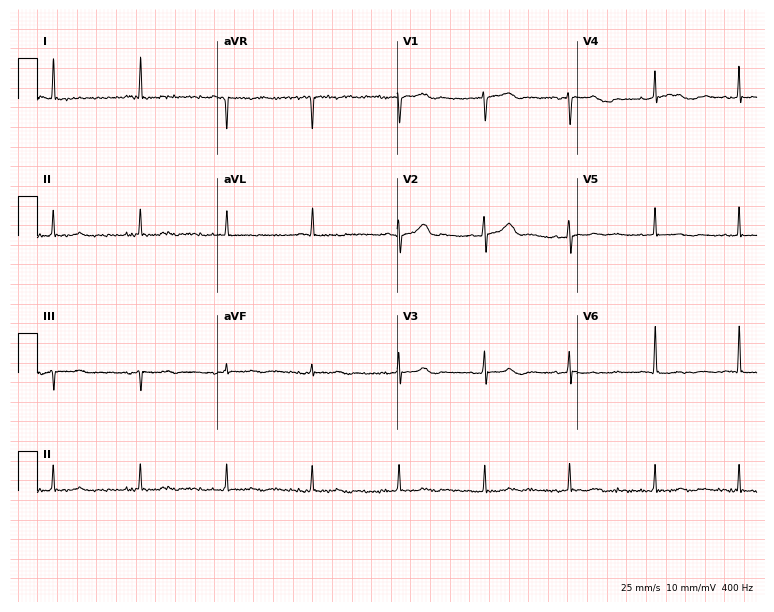
Resting 12-lead electrocardiogram (7.3-second recording at 400 Hz). Patient: a 77-year-old woman. None of these six findings is recorded: first-degree AV block, right bundle branch block, left bundle branch block, sinus bradycardia, atrial fibrillation, sinus tachycardia.